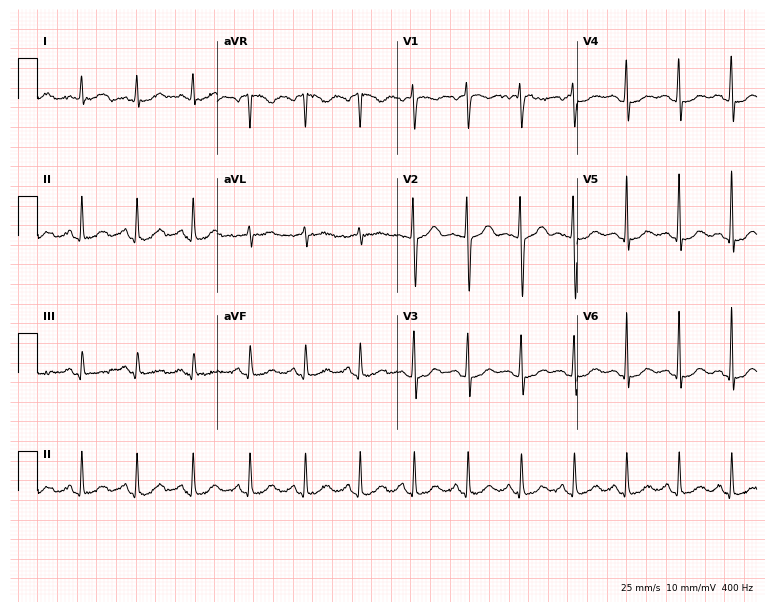
Standard 12-lead ECG recorded from a 34-year-old female patient. The tracing shows sinus tachycardia (a sinus rate of 100 beats per minute or more).